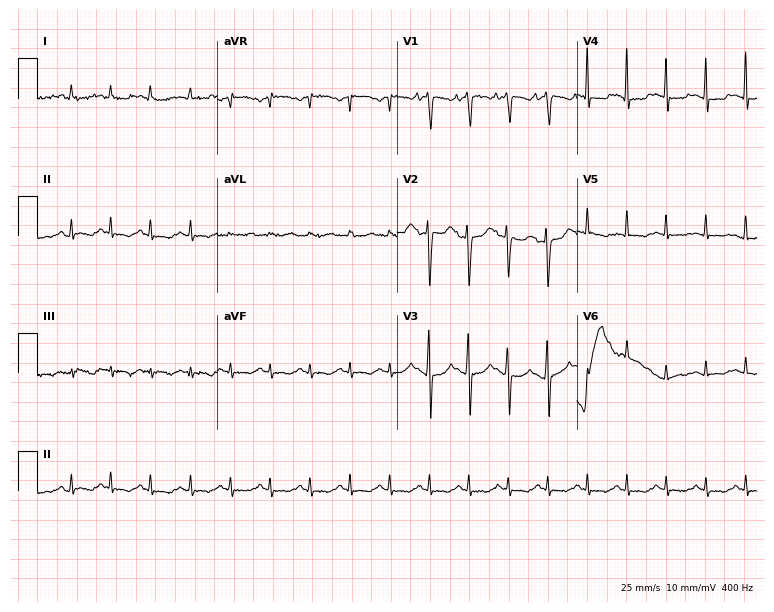
12-lead ECG from a 19-year-old man. Shows sinus tachycardia (a sinus rate of 100 beats per minute or more).